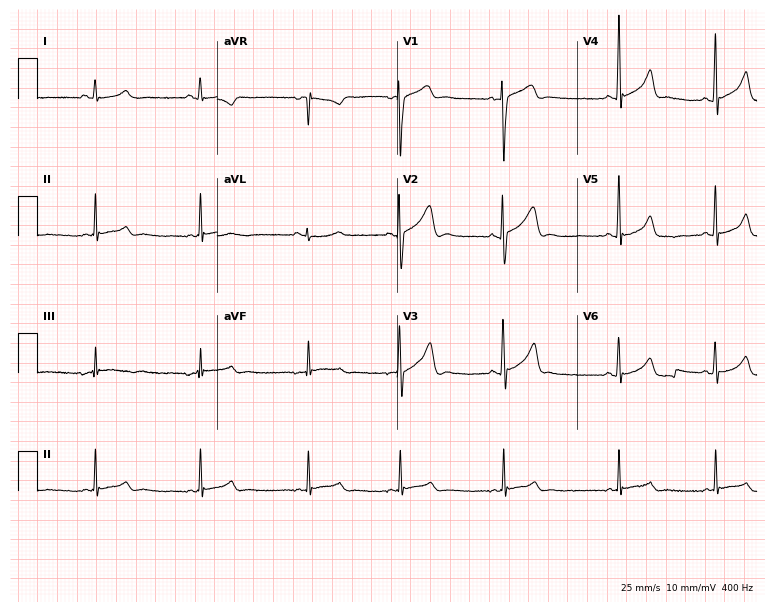
12-lead ECG from a 17-year-old man. Recorded interpretation: within normal limits.